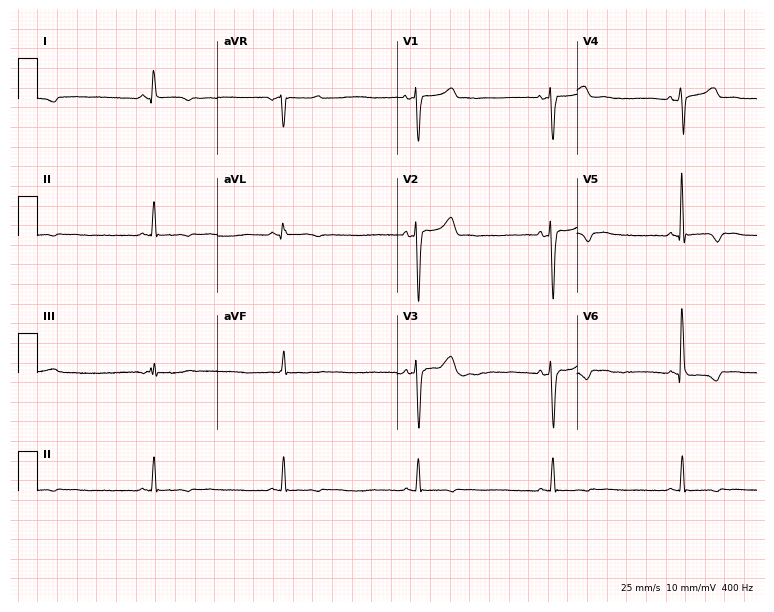
12-lead ECG from a 53-year-old male patient. Screened for six findings — first-degree AV block, right bundle branch block, left bundle branch block, sinus bradycardia, atrial fibrillation, sinus tachycardia — none is recorded.